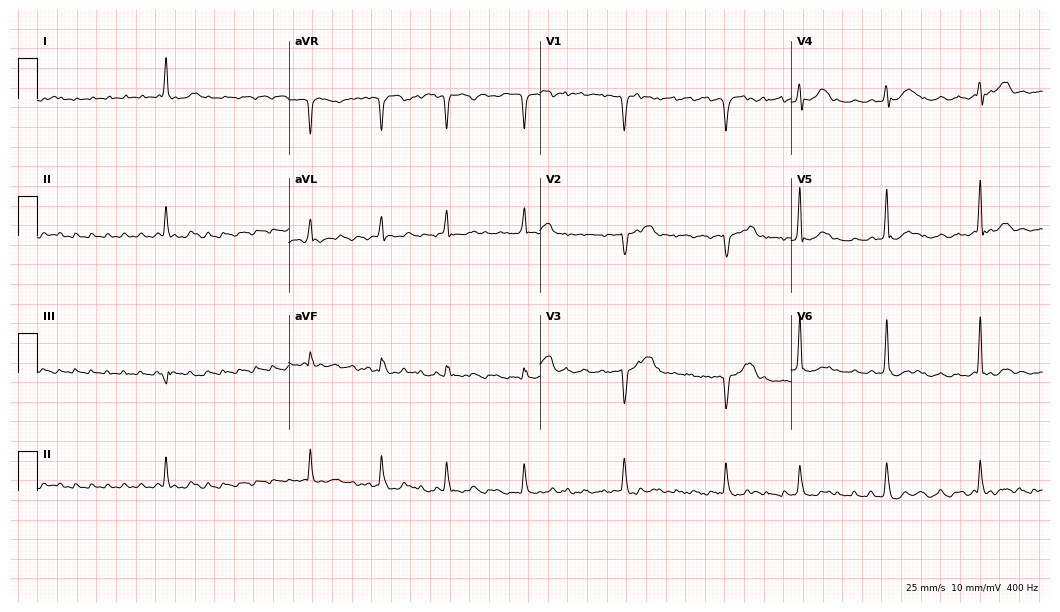
Resting 12-lead electrocardiogram. Patient: an 82-year-old male. The tracing shows atrial fibrillation (AF).